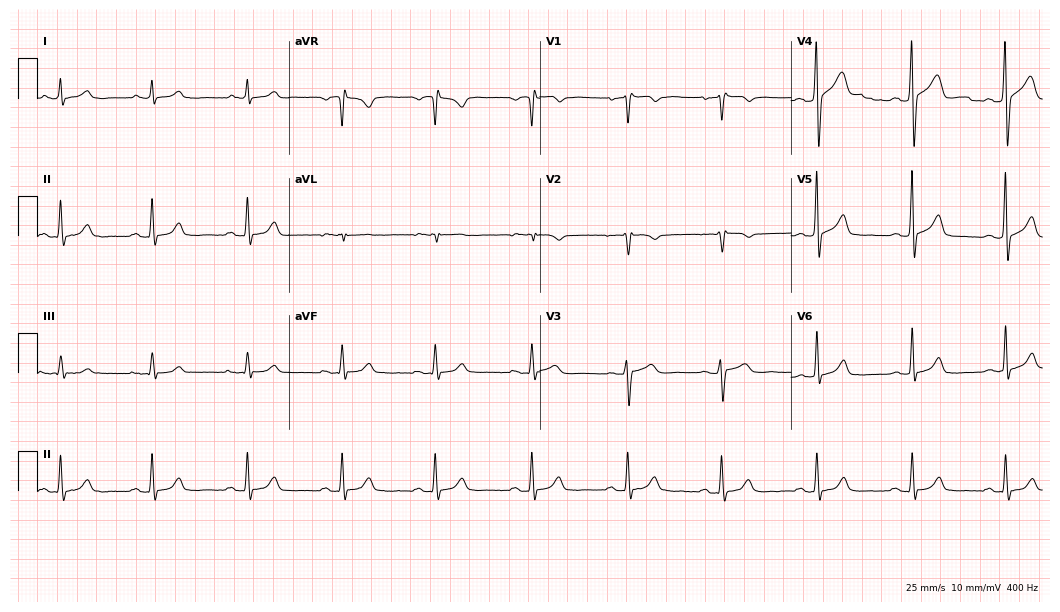
Resting 12-lead electrocardiogram. Patient: a male, 46 years old. Read as a normal ECG.